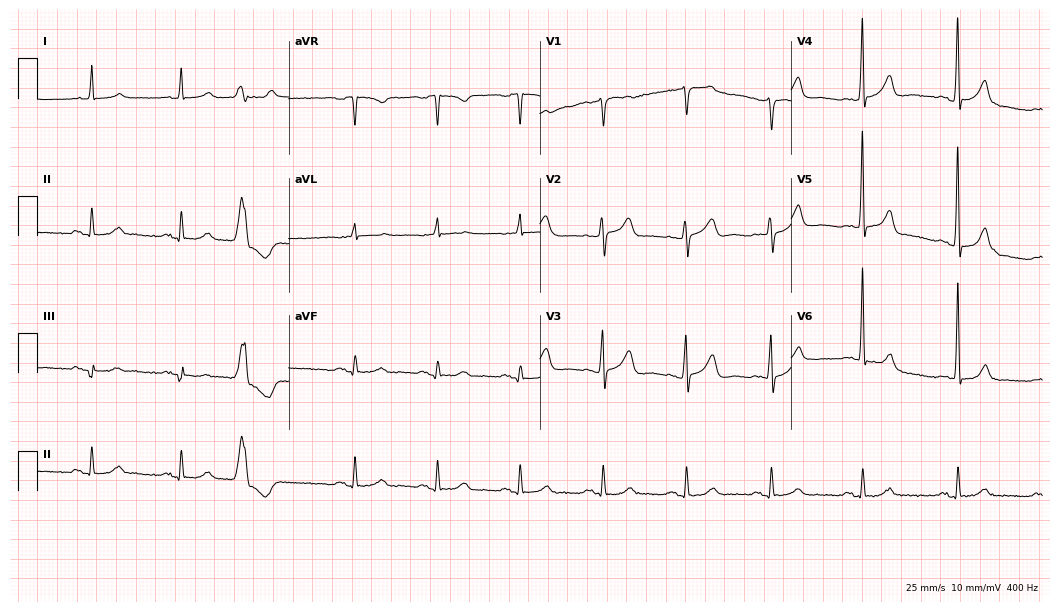
Resting 12-lead electrocardiogram. Patient: an 84-year-old man. None of these six findings is recorded: first-degree AV block, right bundle branch block, left bundle branch block, sinus bradycardia, atrial fibrillation, sinus tachycardia. Other findings, if any, are not listed.